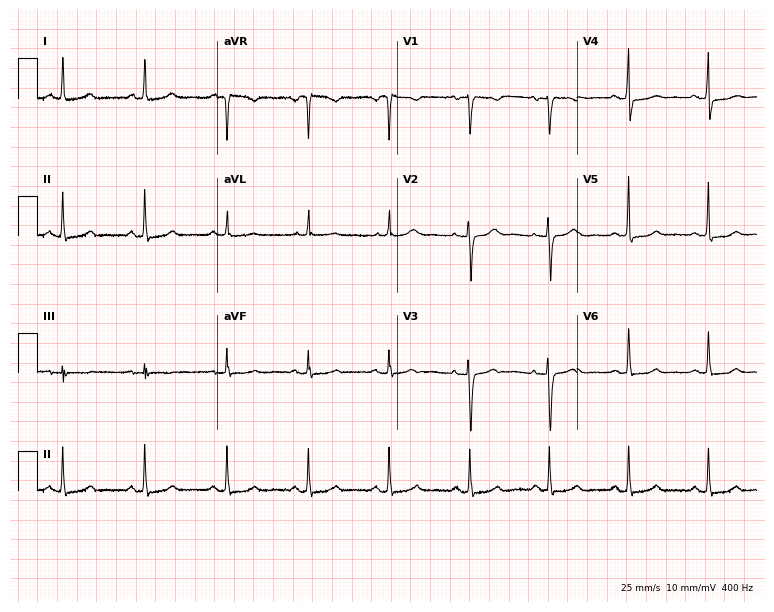
Standard 12-lead ECG recorded from a woman, 68 years old (7.3-second recording at 400 Hz). Read as a normal ECG.